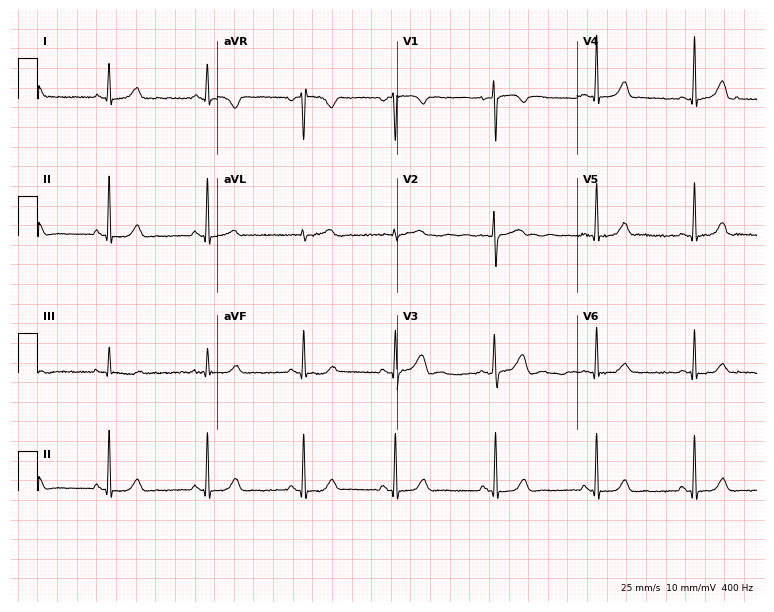
ECG — a female patient, 21 years old. Labelled as a normal ECG.